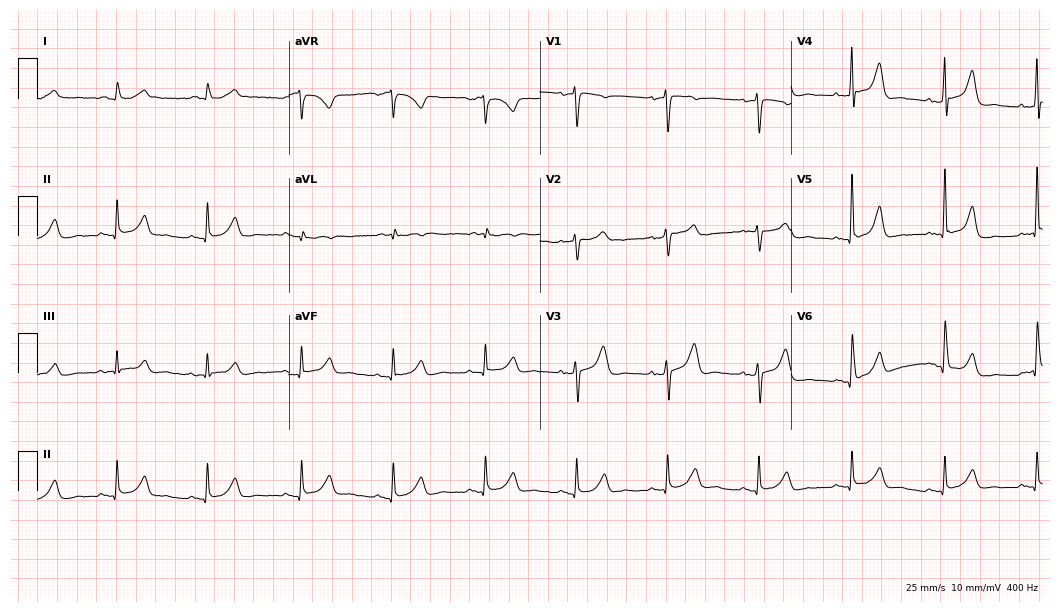
ECG (10.2-second recording at 400 Hz) — a female, 82 years old. Screened for six findings — first-degree AV block, right bundle branch block, left bundle branch block, sinus bradycardia, atrial fibrillation, sinus tachycardia — none is recorded.